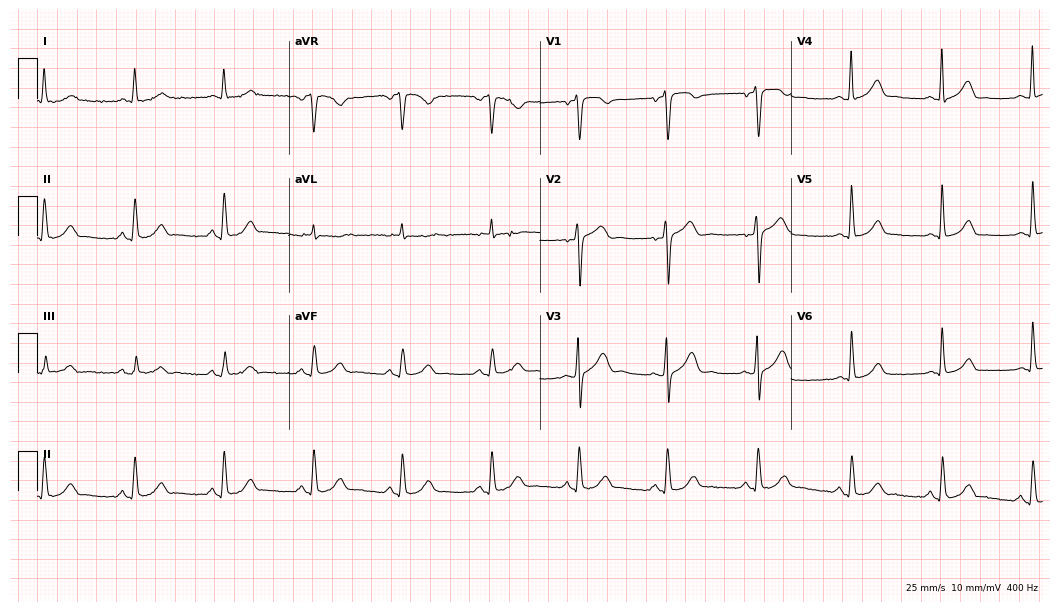
12-lead ECG from a male patient, 59 years old. Recorded interpretation: within normal limits.